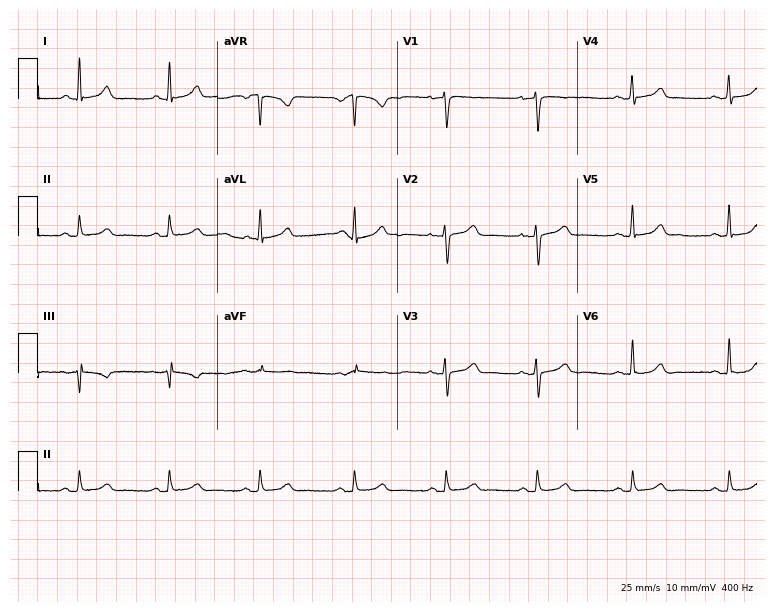
ECG — a woman, 35 years old. Labelled as a normal ECG.